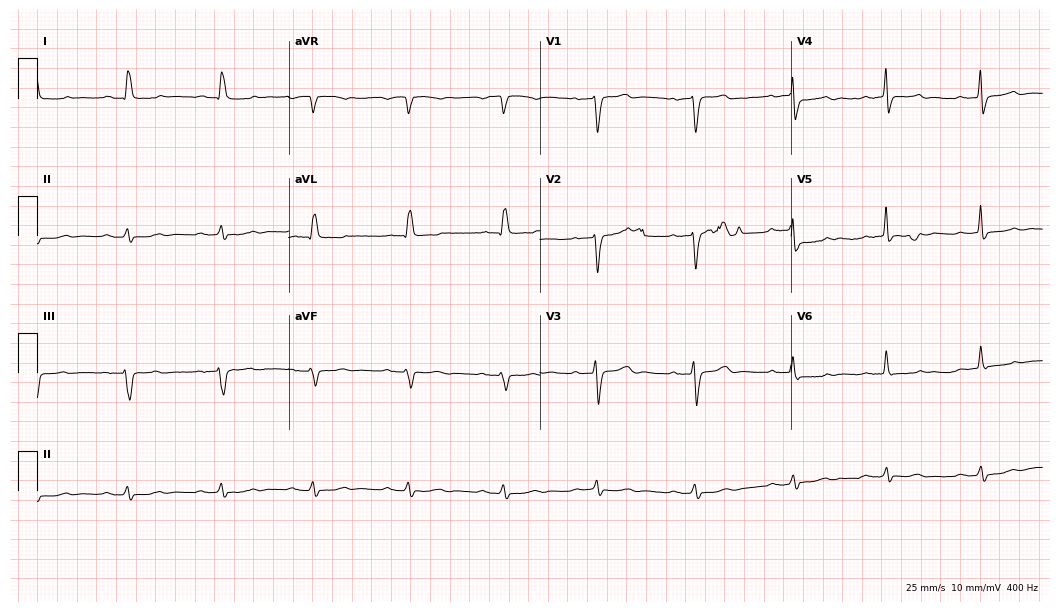
Resting 12-lead electrocardiogram (10.2-second recording at 400 Hz). Patient: a man, 77 years old. None of these six findings is recorded: first-degree AV block, right bundle branch block, left bundle branch block, sinus bradycardia, atrial fibrillation, sinus tachycardia.